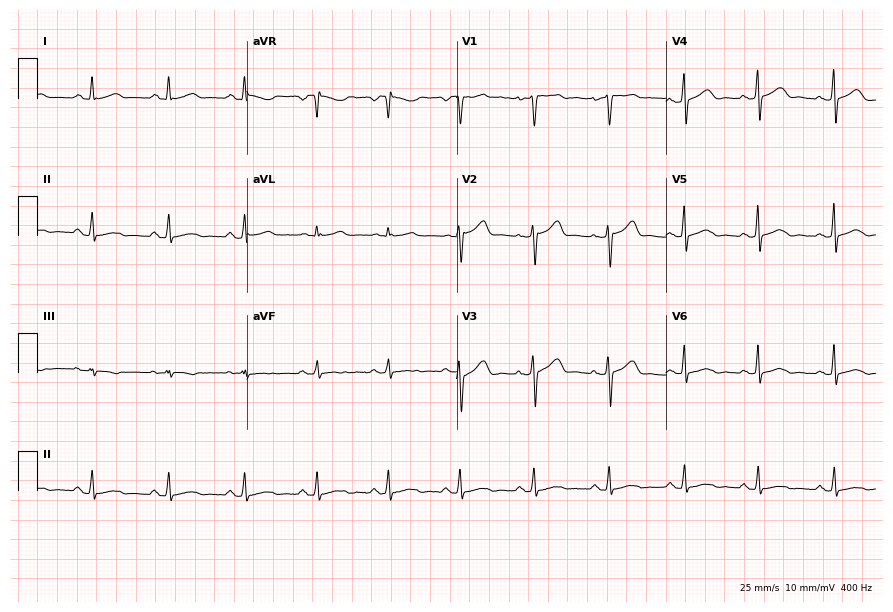
Standard 12-lead ECG recorded from a 42-year-old female patient. Read as a normal ECG.